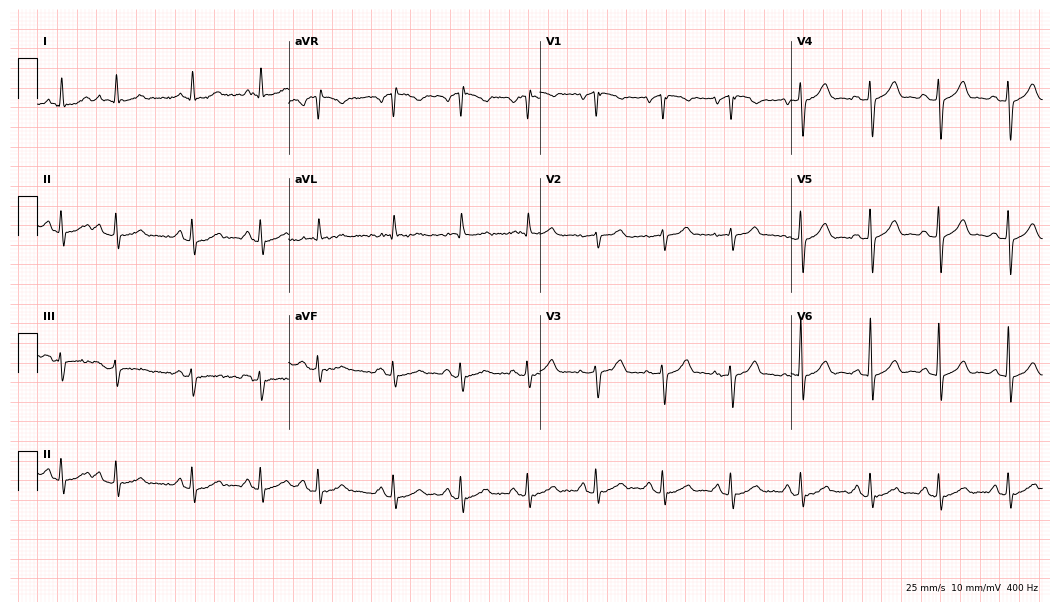
12-lead ECG from a male, 75 years old. Recorded interpretation: within normal limits.